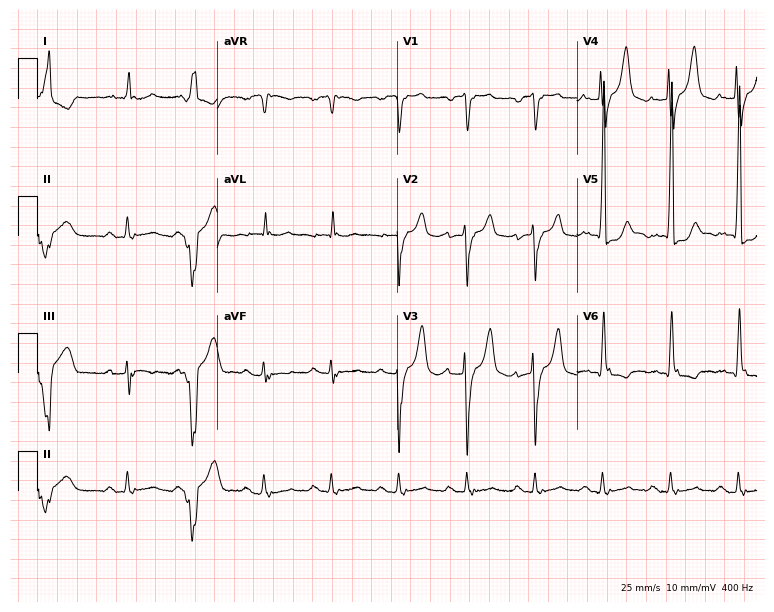
Resting 12-lead electrocardiogram. Patient: a male, 76 years old. None of these six findings is recorded: first-degree AV block, right bundle branch block (RBBB), left bundle branch block (LBBB), sinus bradycardia, atrial fibrillation (AF), sinus tachycardia. Findings outside these six are not listed.